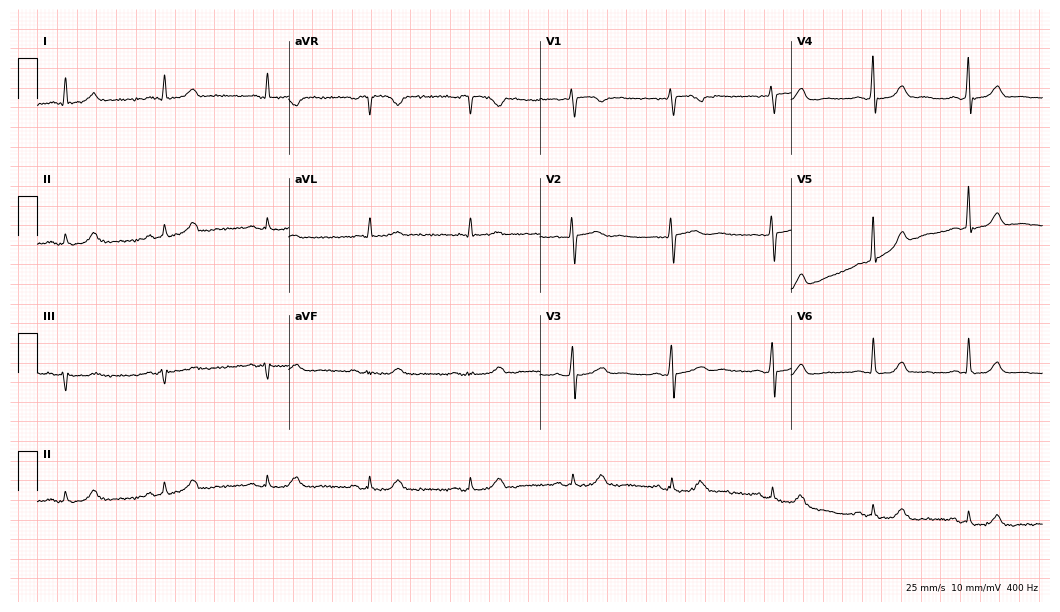
12-lead ECG from a woman, 66 years old (10.2-second recording at 400 Hz). Recorded interpretation: within normal limits.